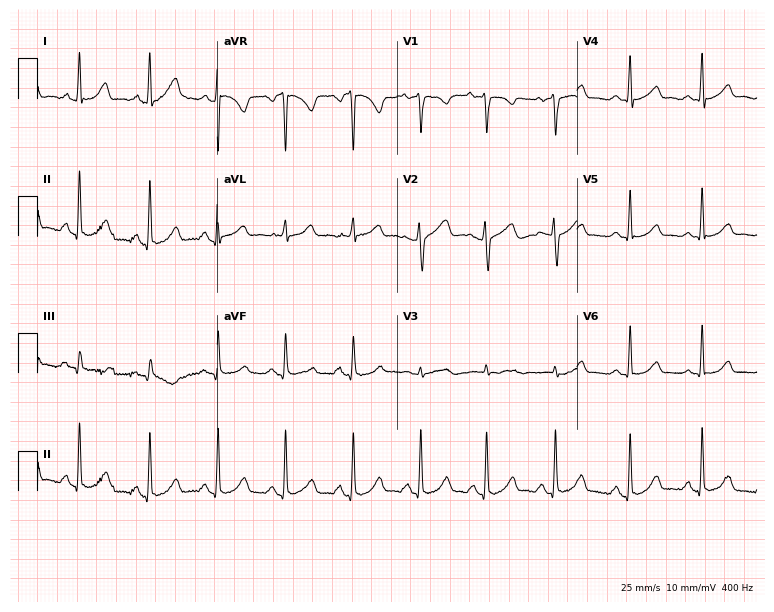
ECG (7.3-second recording at 400 Hz) — a 30-year-old female. Labelled as a normal ECG.